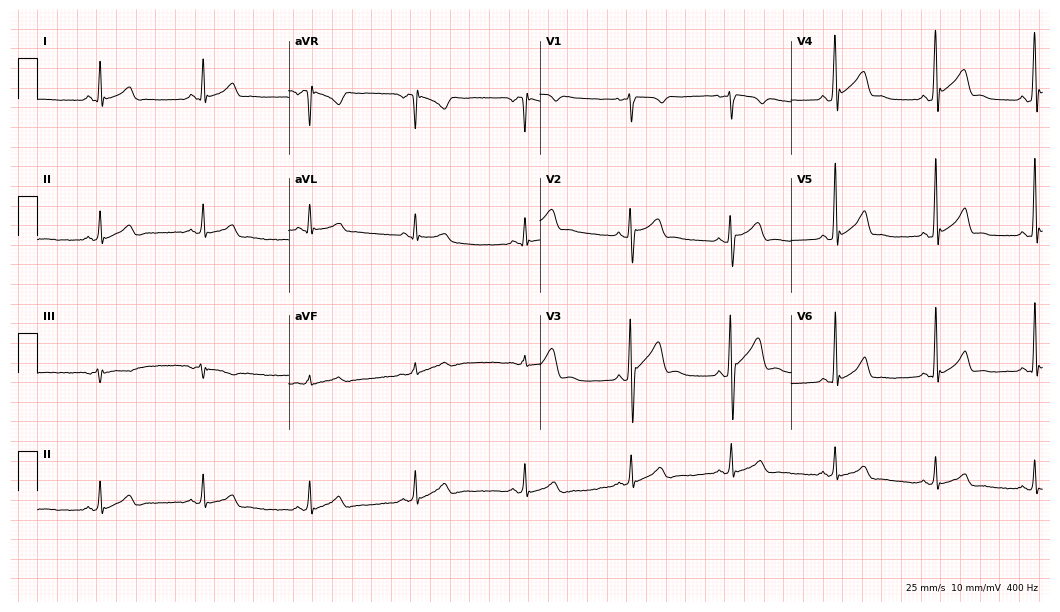
Electrocardiogram, a 22-year-old male. Overall reading on record: normal ECG.